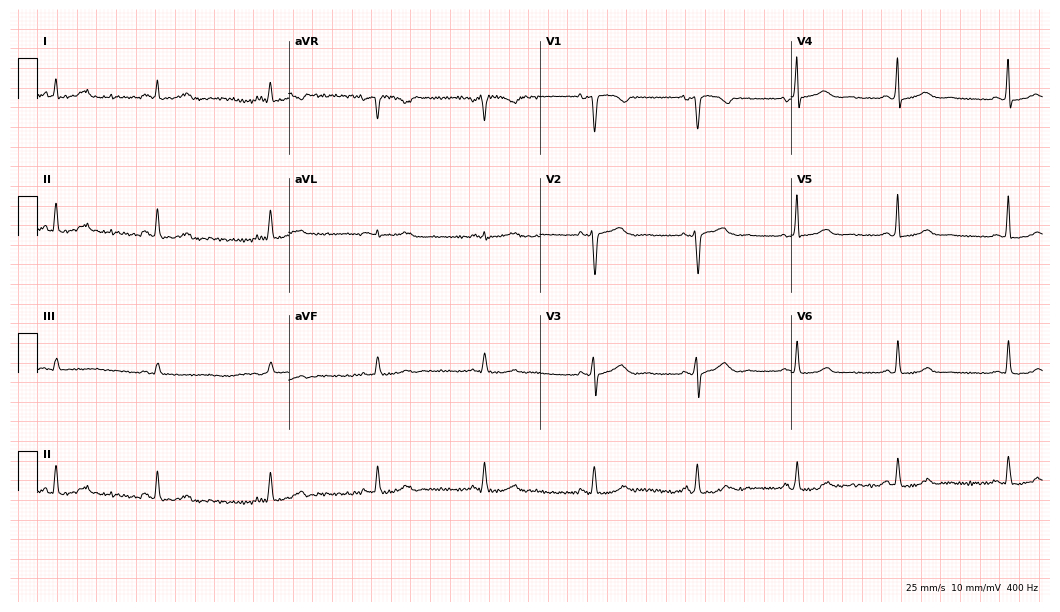
Resting 12-lead electrocardiogram (10.2-second recording at 400 Hz). Patient: a 57-year-old female. None of these six findings is recorded: first-degree AV block, right bundle branch block (RBBB), left bundle branch block (LBBB), sinus bradycardia, atrial fibrillation (AF), sinus tachycardia.